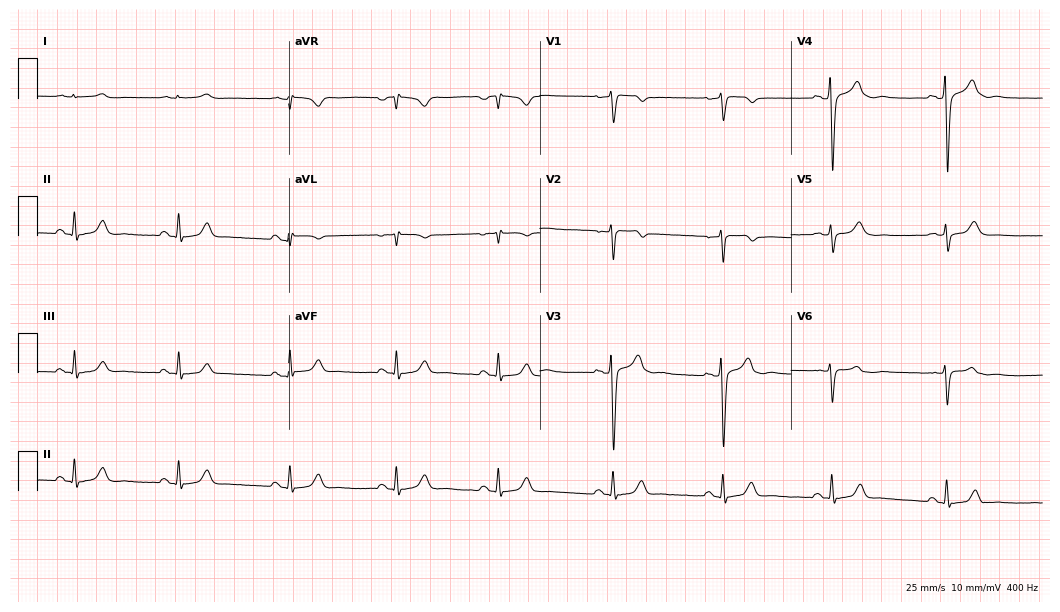
Standard 12-lead ECG recorded from a male patient, 36 years old. None of these six findings is recorded: first-degree AV block, right bundle branch block, left bundle branch block, sinus bradycardia, atrial fibrillation, sinus tachycardia.